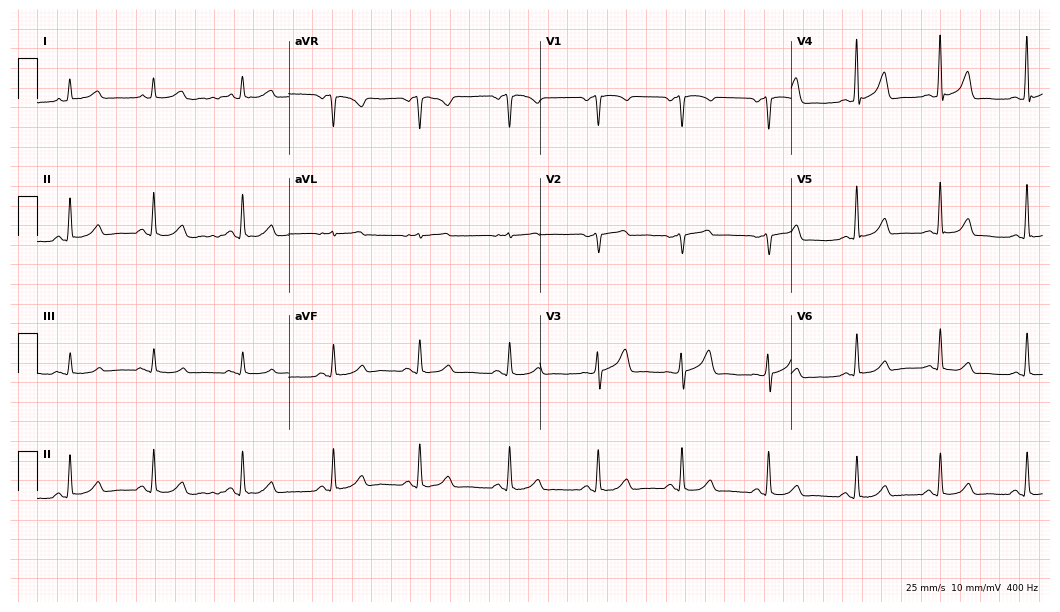
Electrocardiogram (10.2-second recording at 400 Hz), a 56-year-old male. Of the six screened findings (first-degree AV block, right bundle branch block, left bundle branch block, sinus bradycardia, atrial fibrillation, sinus tachycardia), none is recorded.